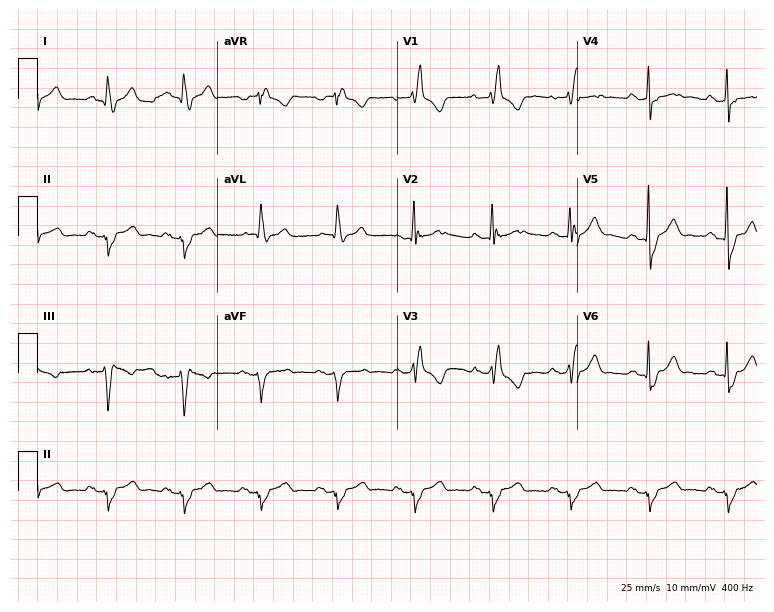
12-lead ECG from a man, 67 years old (7.3-second recording at 400 Hz). No first-degree AV block, right bundle branch block (RBBB), left bundle branch block (LBBB), sinus bradycardia, atrial fibrillation (AF) or sinus tachycardia recorded for this tracing.